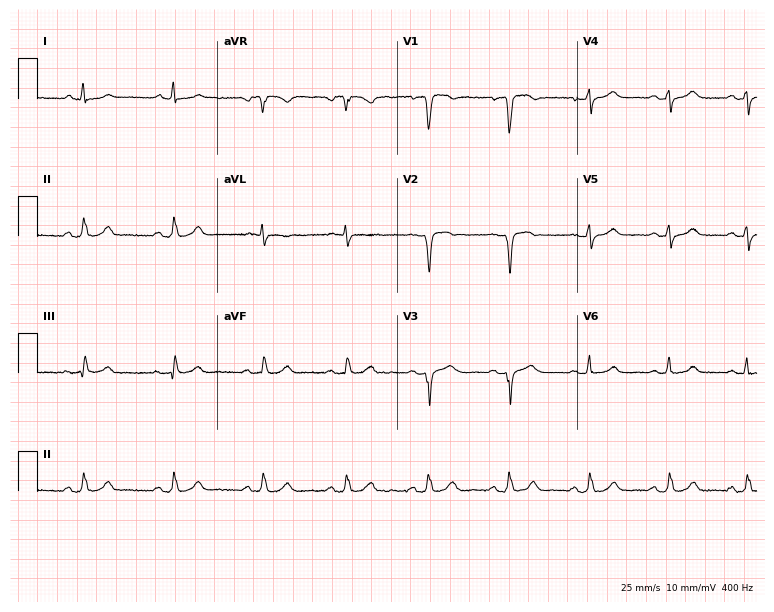
Standard 12-lead ECG recorded from a 59-year-old male (7.3-second recording at 400 Hz). None of these six findings is recorded: first-degree AV block, right bundle branch block, left bundle branch block, sinus bradycardia, atrial fibrillation, sinus tachycardia.